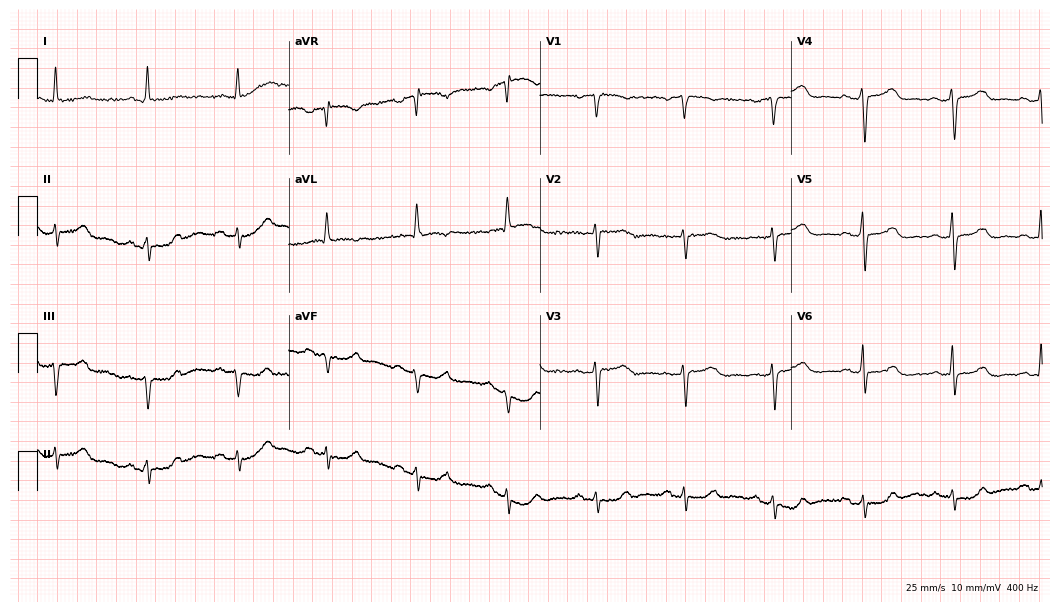
12-lead ECG from a 69-year-old female. Screened for six findings — first-degree AV block, right bundle branch block, left bundle branch block, sinus bradycardia, atrial fibrillation, sinus tachycardia — none is recorded. Other findings, if any, are not listed.